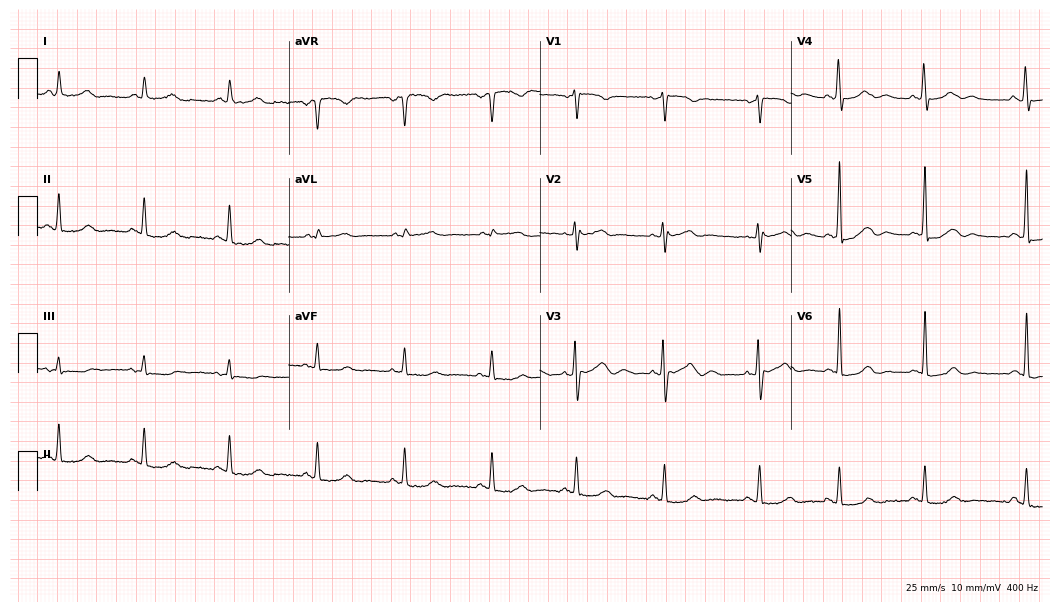
Electrocardiogram (10.2-second recording at 400 Hz), a 49-year-old woman. Overall reading on record: normal ECG.